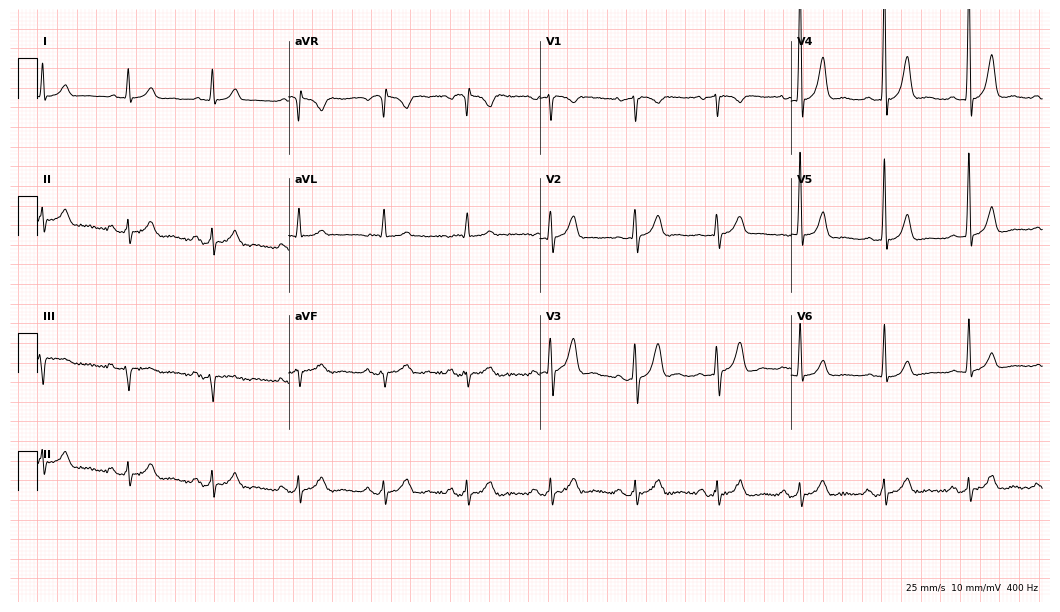
ECG — a 71-year-old male patient. Labelled as a normal ECG.